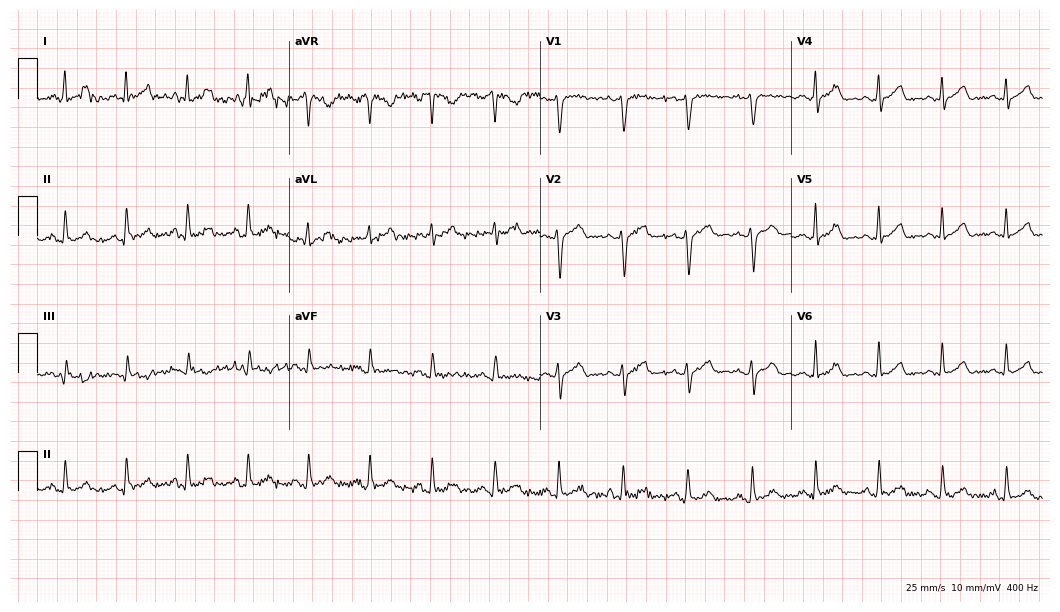
Electrocardiogram (10.2-second recording at 400 Hz), a female patient, 31 years old. Of the six screened findings (first-degree AV block, right bundle branch block, left bundle branch block, sinus bradycardia, atrial fibrillation, sinus tachycardia), none is recorded.